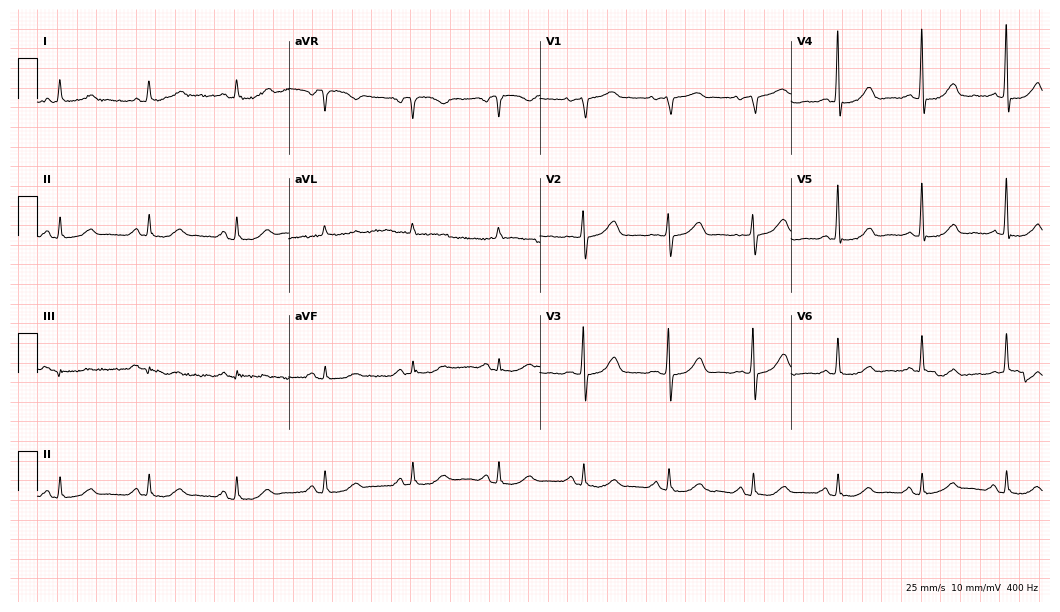
12-lead ECG from a female, 85 years old (10.2-second recording at 400 Hz). Recorded interpretation: within normal limits.